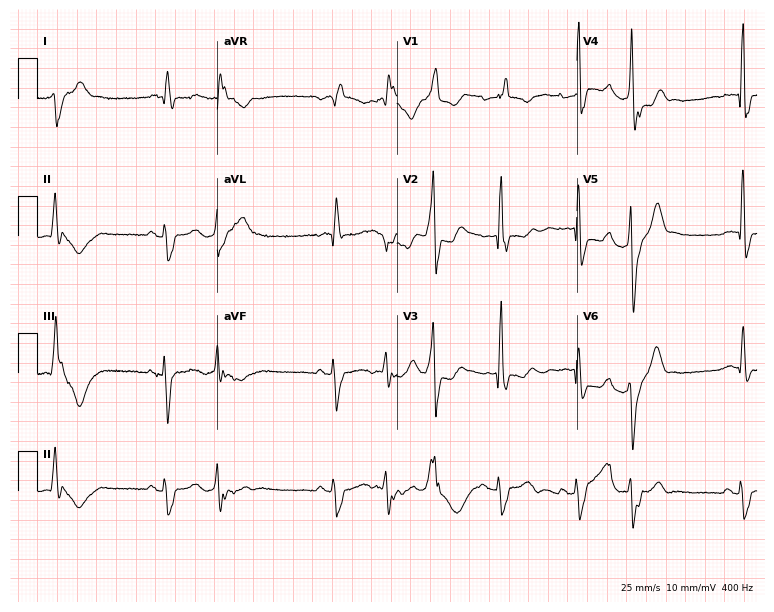
Electrocardiogram (7.3-second recording at 400 Hz), a female patient, 65 years old. Interpretation includes right bundle branch block (RBBB).